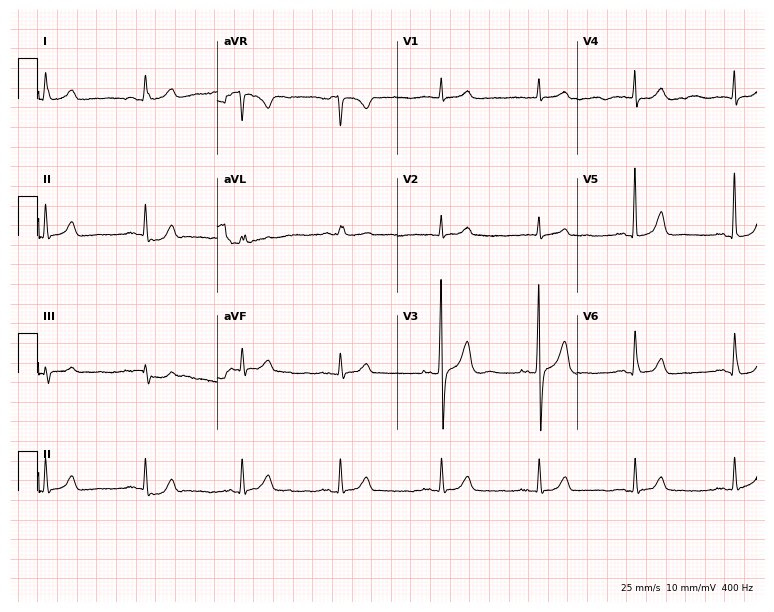
Standard 12-lead ECG recorded from a male patient, 48 years old. Read as a normal ECG.